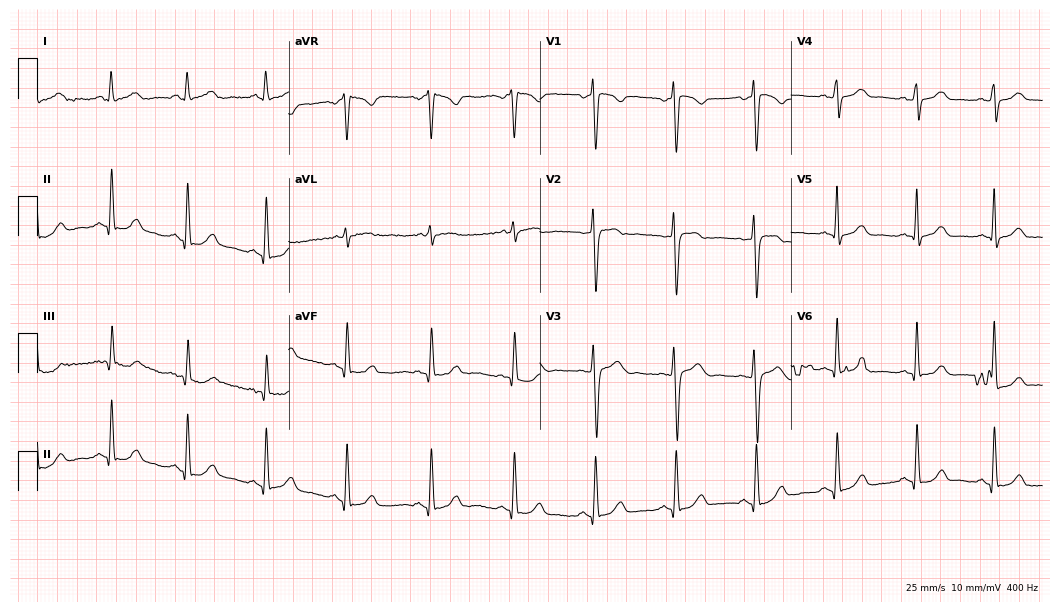
Electrocardiogram (10.2-second recording at 400 Hz), a 34-year-old female. Of the six screened findings (first-degree AV block, right bundle branch block, left bundle branch block, sinus bradycardia, atrial fibrillation, sinus tachycardia), none is recorded.